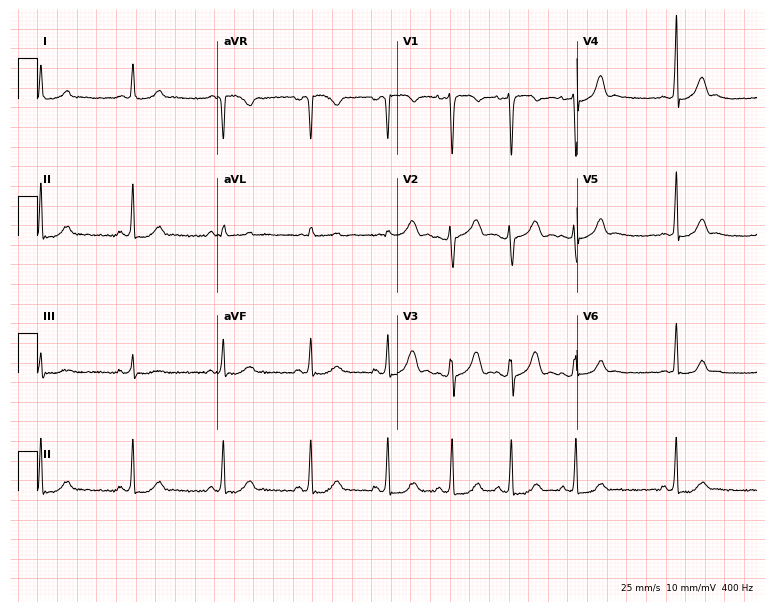
Electrocardiogram (7.3-second recording at 400 Hz), a female patient, 21 years old. Overall reading on record: normal ECG.